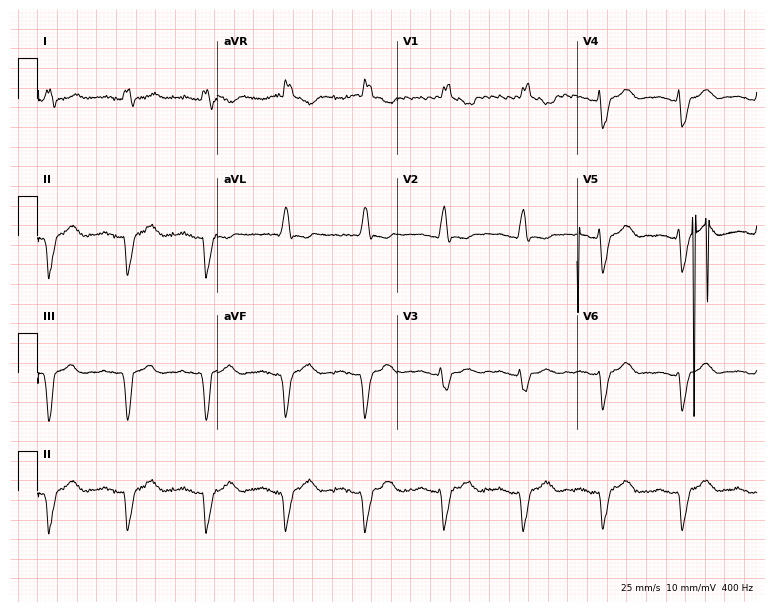
Standard 12-lead ECG recorded from a man, 83 years old (7.3-second recording at 400 Hz). The tracing shows first-degree AV block, right bundle branch block.